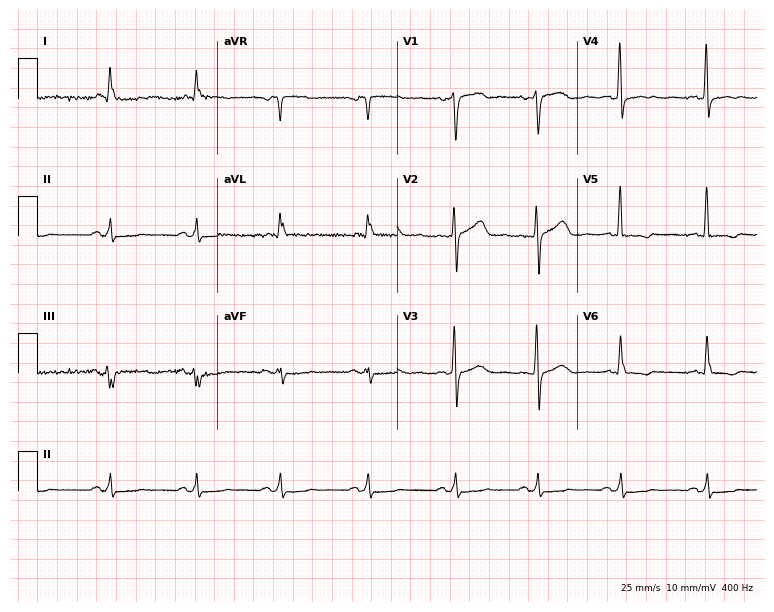
ECG — a 60-year-old man. Screened for six findings — first-degree AV block, right bundle branch block, left bundle branch block, sinus bradycardia, atrial fibrillation, sinus tachycardia — none is recorded. Other findings, if any, are not listed.